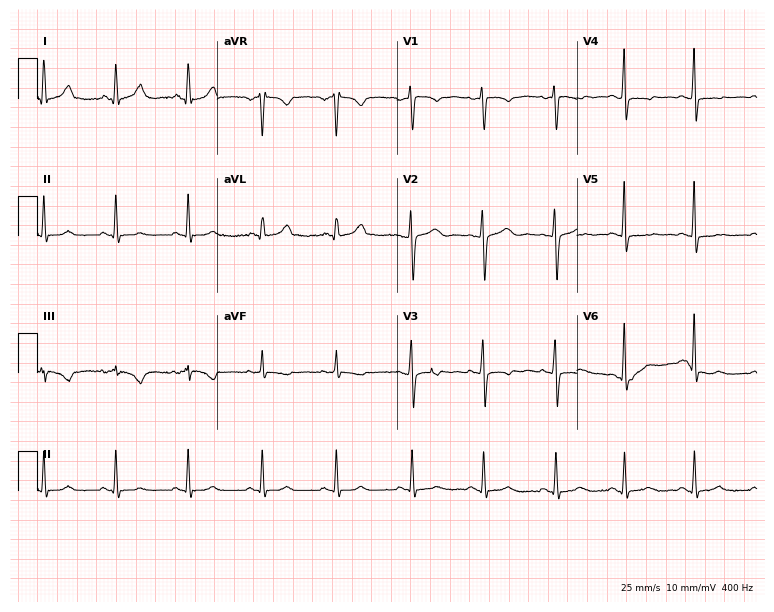
Electrocardiogram, a 31-year-old female patient. Of the six screened findings (first-degree AV block, right bundle branch block, left bundle branch block, sinus bradycardia, atrial fibrillation, sinus tachycardia), none is recorded.